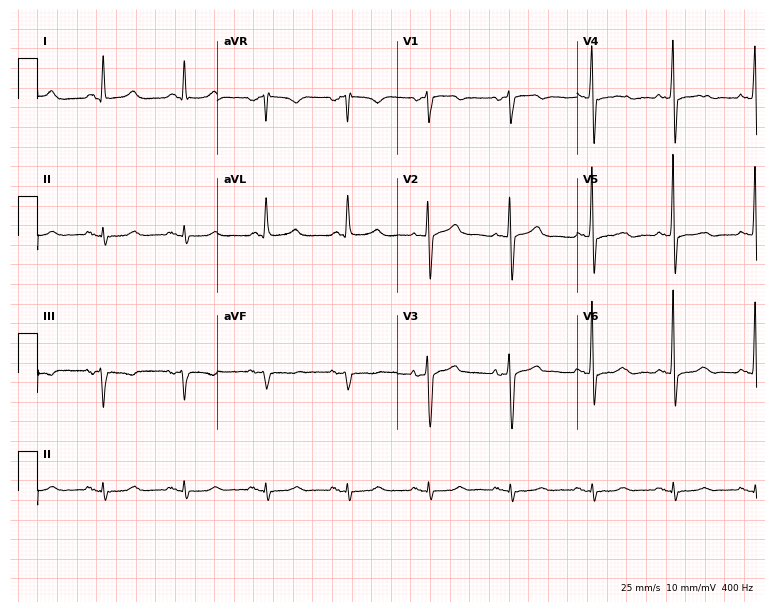
ECG — a 66-year-old man. Screened for six findings — first-degree AV block, right bundle branch block, left bundle branch block, sinus bradycardia, atrial fibrillation, sinus tachycardia — none is recorded.